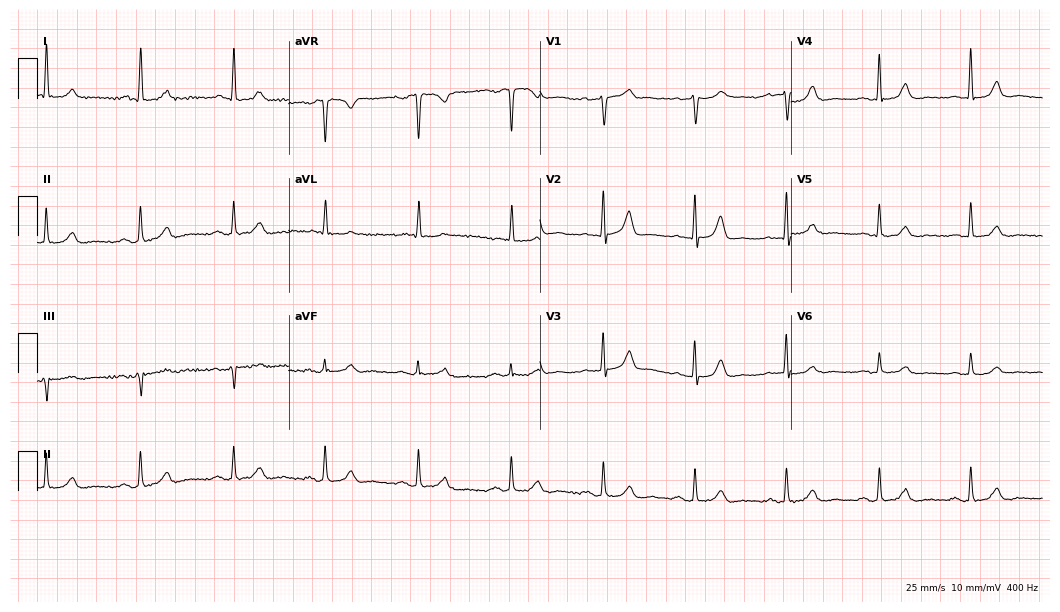
Standard 12-lead ECG recorded from a 72-year-old female patient. None of these six findings is recorded: first-degree AV block, right bundle branch block (RBBB), left bundle branch block (LBBB), sinus bradycardia, atrial fibrillation (AF), sinus tachycardia. Only these six findings were labelled.